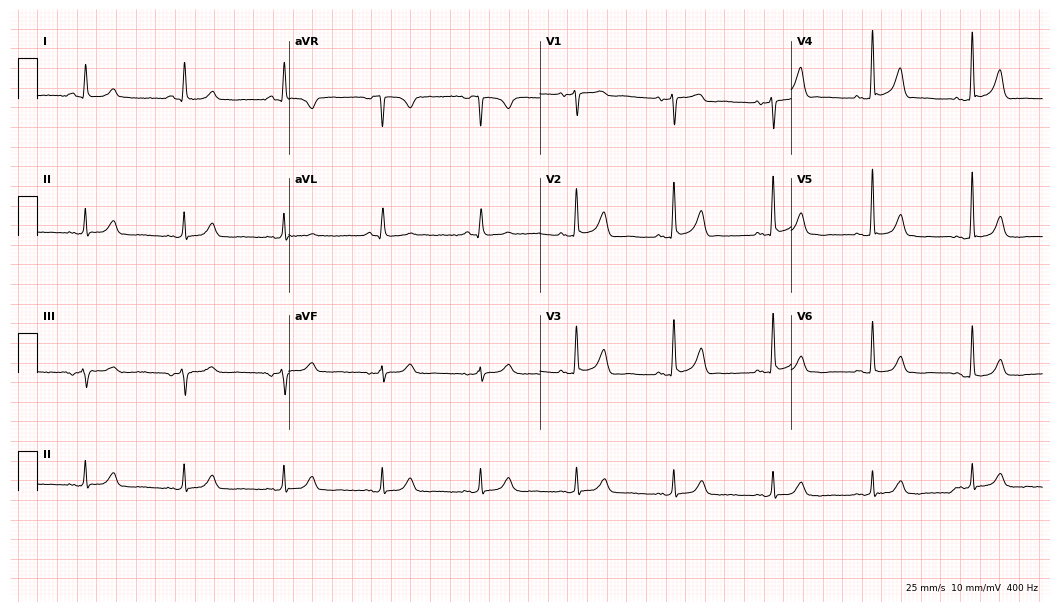
ECG (10.2-second recording at 400 Hz) — a 66-year-old woman. Labelled as a normal ECG.